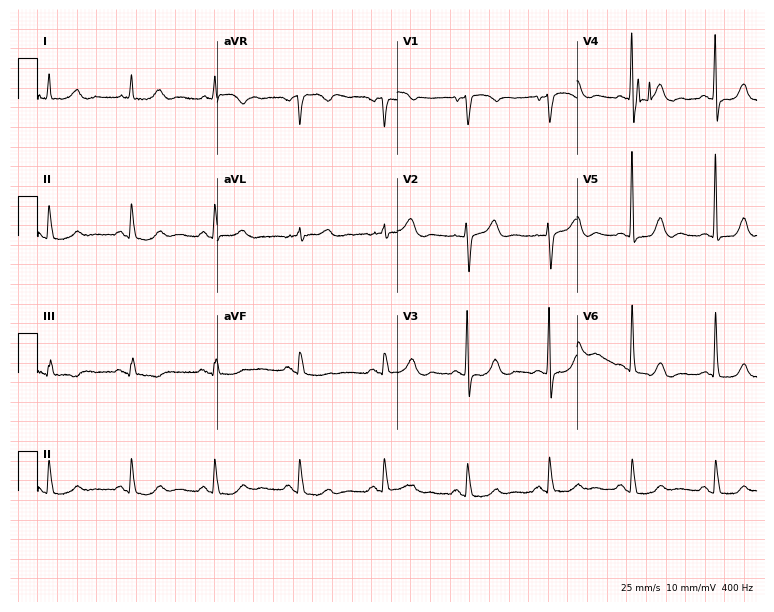
12-lead ECG from a 75-year-old woman. Recorded interpretation: within normal limits.